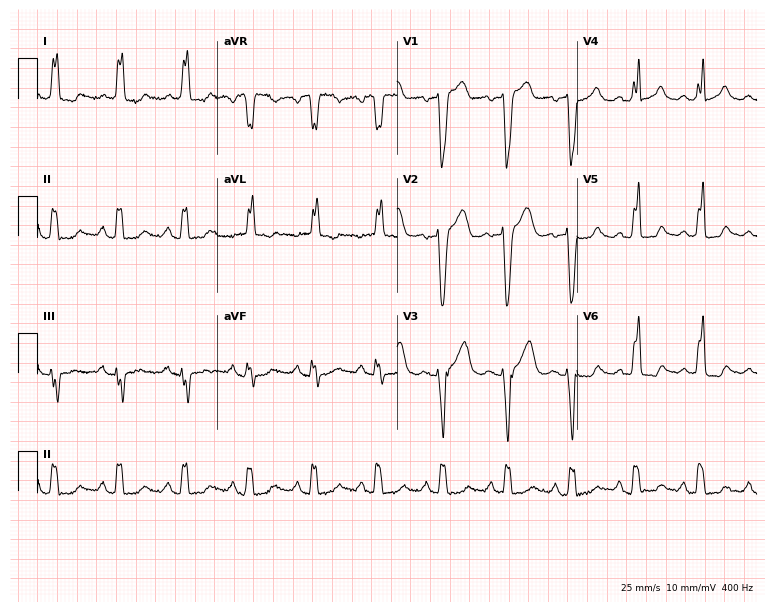
12-lead ECG from a 78-year-old female. Shows left bundle branch block (LBBB).